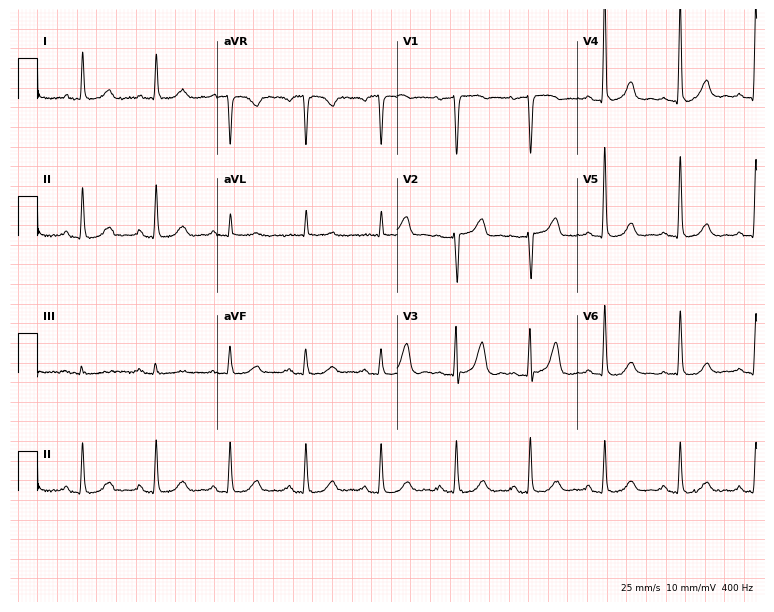
12-lead ECG (7.3-second recording at 400 Hz) from a female patient, 70 years old. Screened for six findings — first-degree AV block, right bundle branch block (RBBB), left bundle branch block (LBBB), sinus bradycardia, atrial fibrillation (AF), sinus tachycardia — none is recorded.